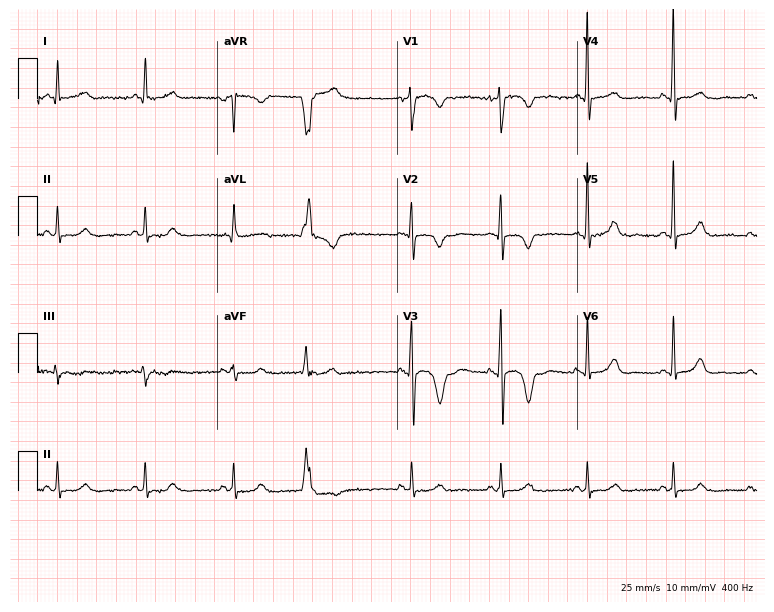
Standard 12-lead ECG recorded from a female patient, 75 years old. None of these six findings is recorded: first-degree AV block, right bundle branch block, left bundle branch block, sinus bradycardia, atrial fibrillation, sinus tachycardia.